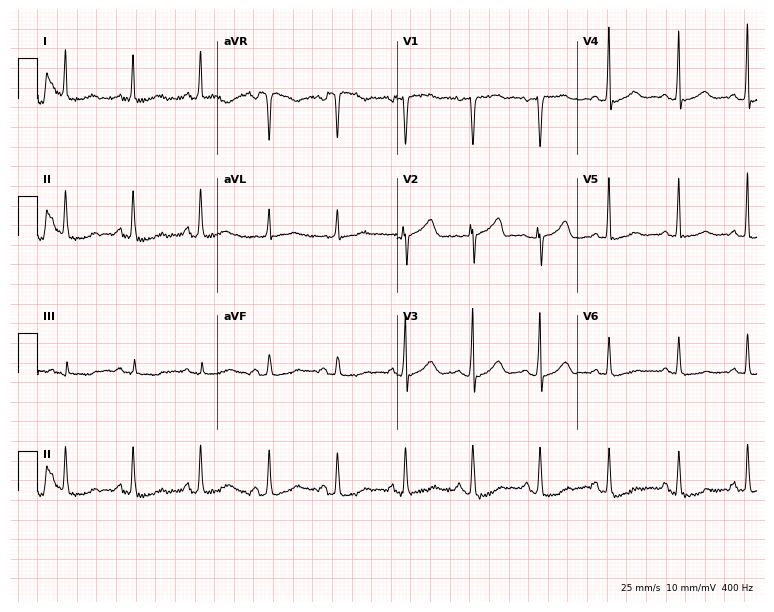
12-lead ECG from a 66-year-old female patient. Labelled as a normal ECG.